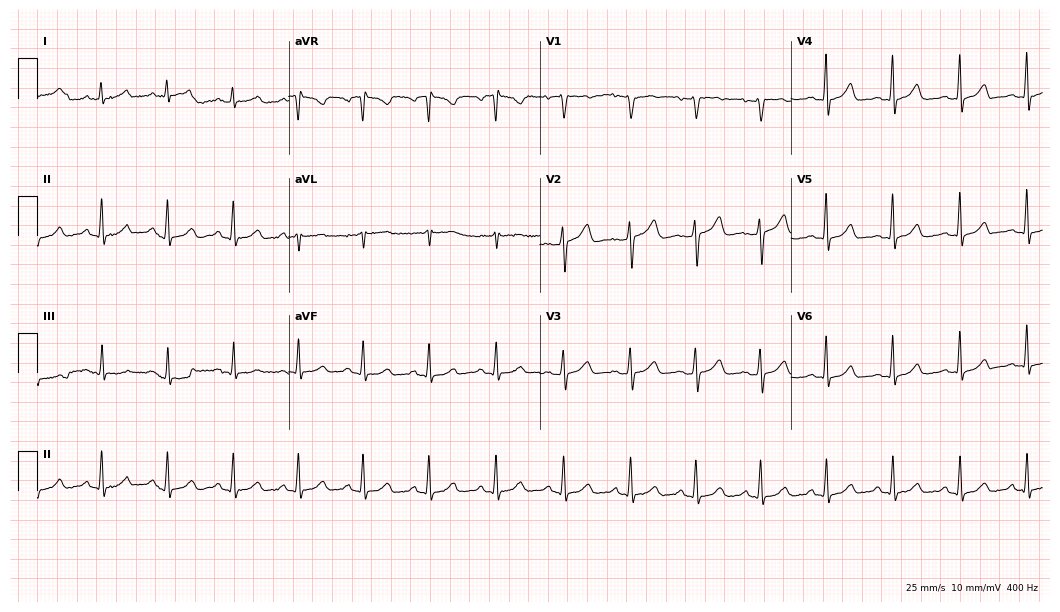
ECG (10.2-second recording at 400 Hz) — a female patient, 48 years old. Labelled as a normal ECG.